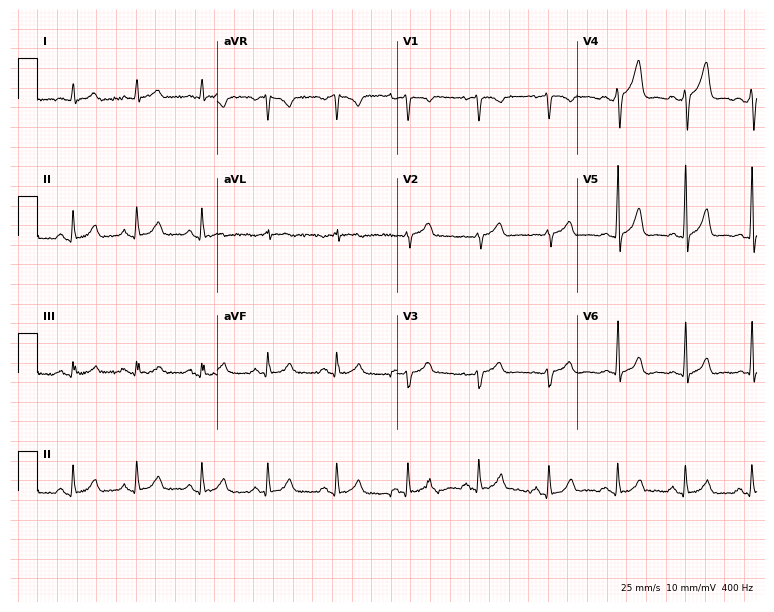
12-lead ECG from a male, 50 years old. Labelled as a normal ECG.